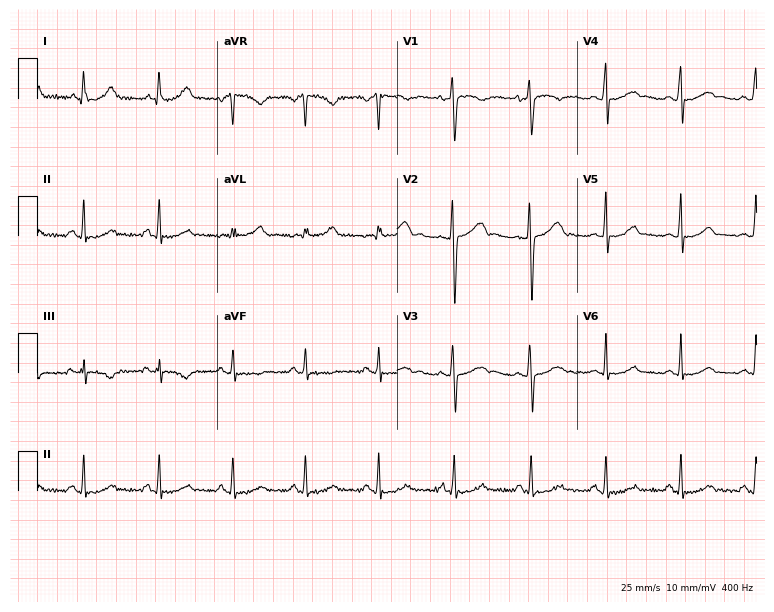
12-lead ECG from a woman, 30 years old (7.3-second recording at 400 Hz). Recorded interpretation: within normal limits.